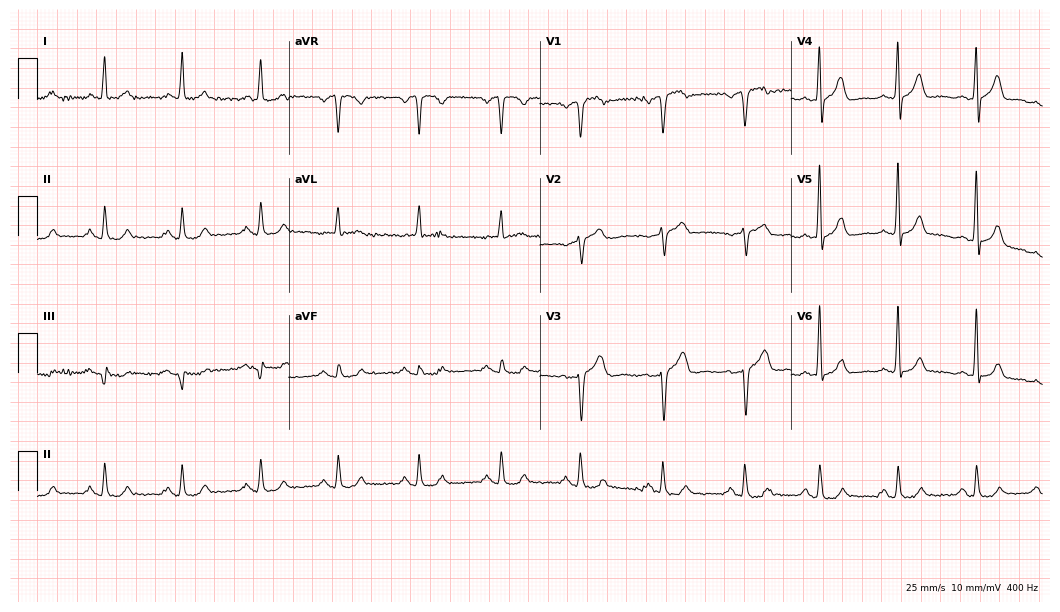
Resting 12-lead electrocardiogram. Patient: a man, 64 years old. None of these six findings is recorded: first-degree AV block, right bundle branch block, left bundle branch block, sinus bradycardia, atrial fibrillation, sinus tachycardia.